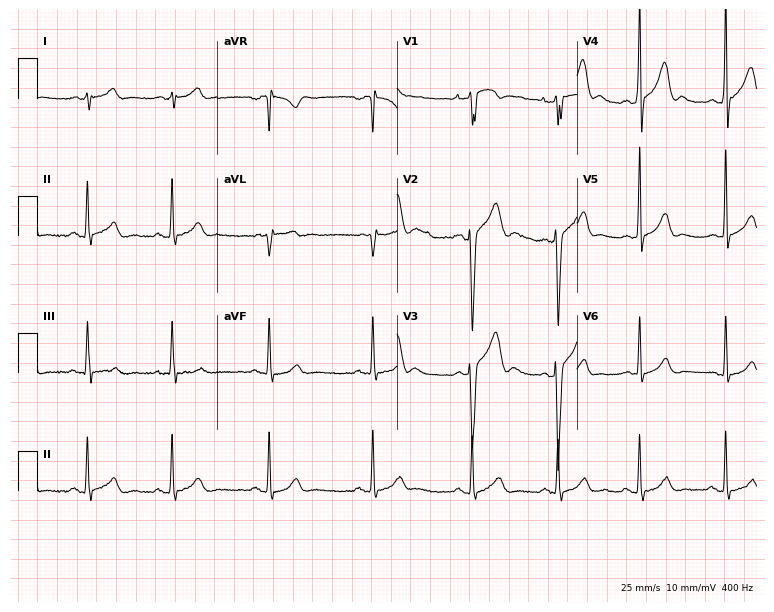
Standard 12-lead ECG recorded from a male patient, 22 years old. None of these six findings is recorded: first-degree AV block, right bundle branch block, left bundle branch block, sinus bradycardia, atrial fibrillation, sinus tachycardia. Findings outside these six are not listed.